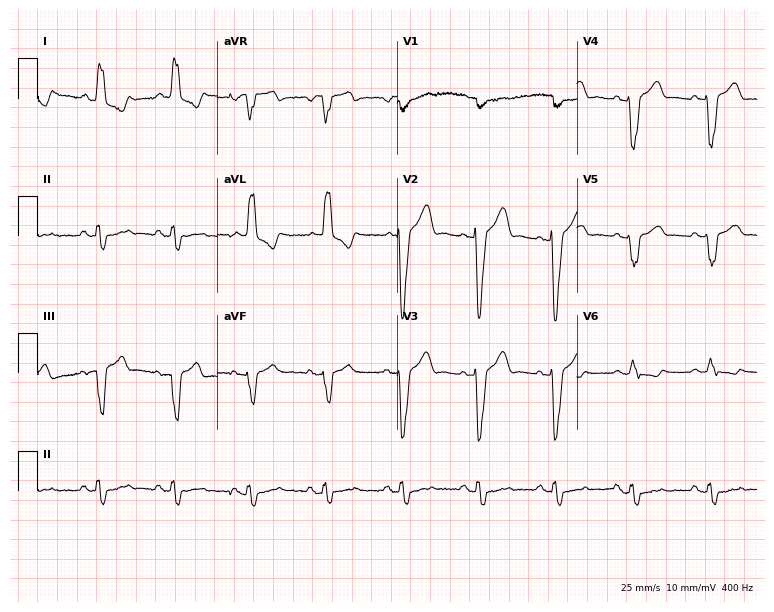
Resting 12-lead electrocardiogram (7.3-second recording at 400 Hz). Patient: a female, 71 years old. The tracing shows left bundle branch block.